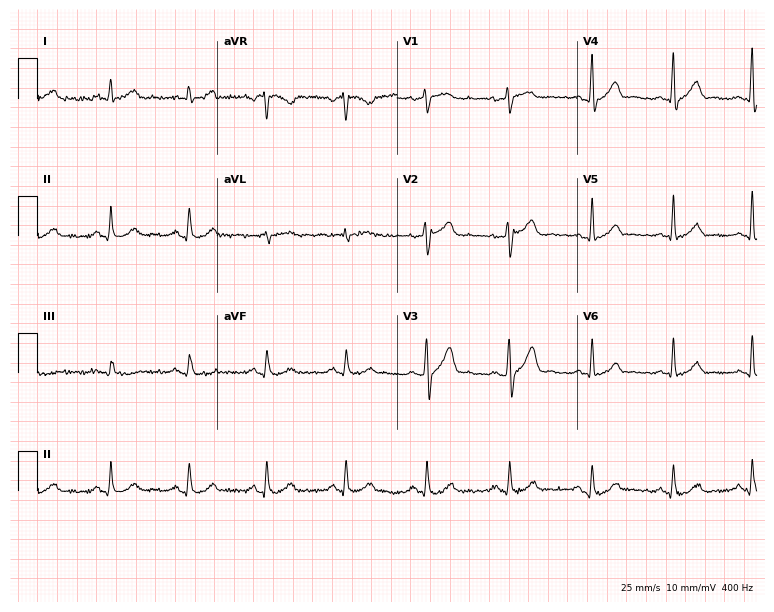
12-lead ECG (7.3-second recording at 400 Hz) from a 49-year-old male. Labelled as a normal ECG.